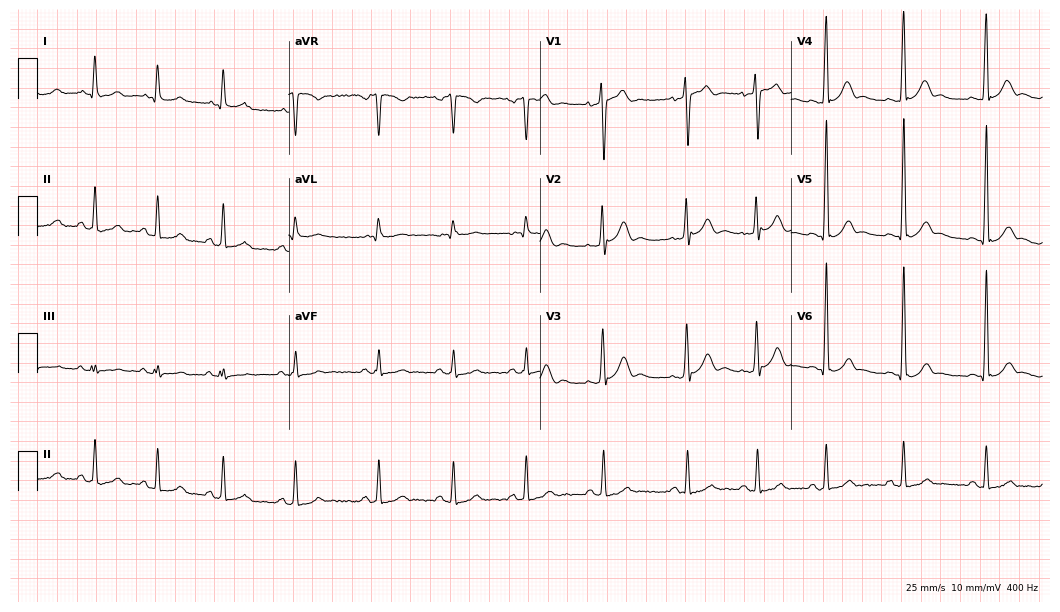
Standard 12-lead ECG recorded from a 27-year-old male. Read as a normal ECG.